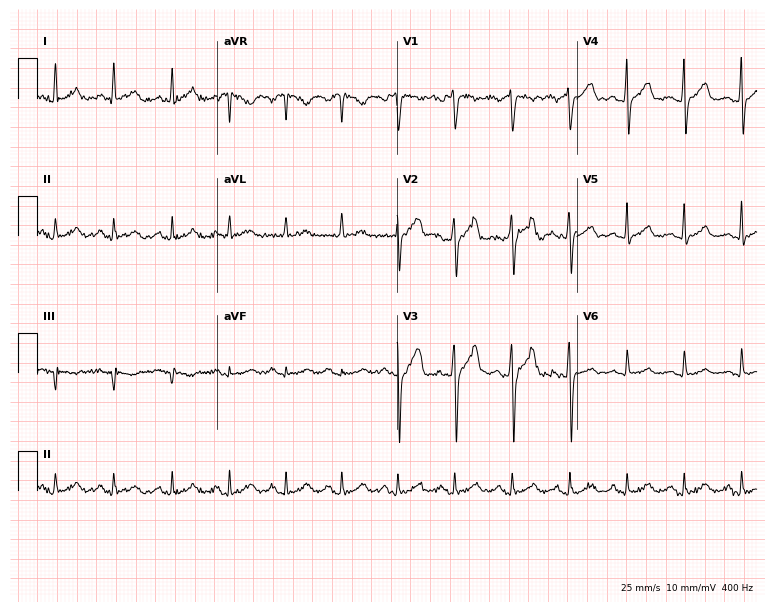
12-lead ECG from a man, 32 years old. Findings include sinus tachycardia (a sinus rate of 100 beats per minute or more).